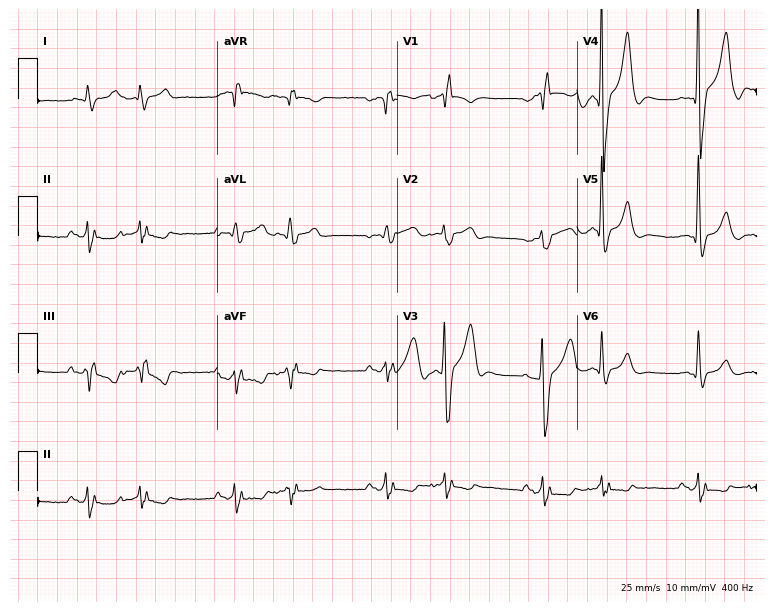
12-lead ECG from a male, 71 years old. Shows right bundle branch block.